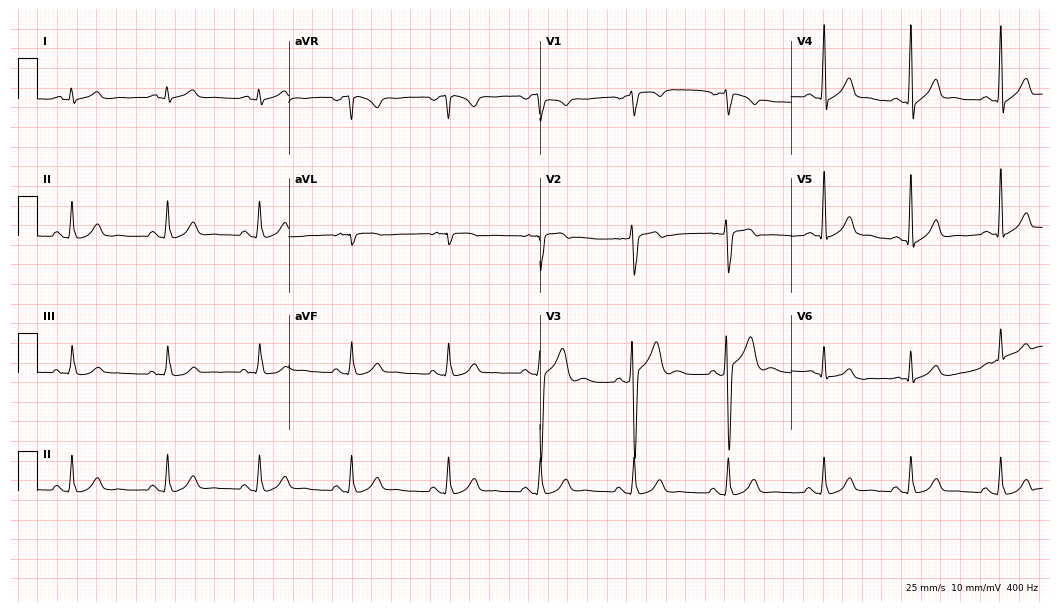
12-lead ECG from a man, 19 years old. Recorded interpretation: within normal limits.